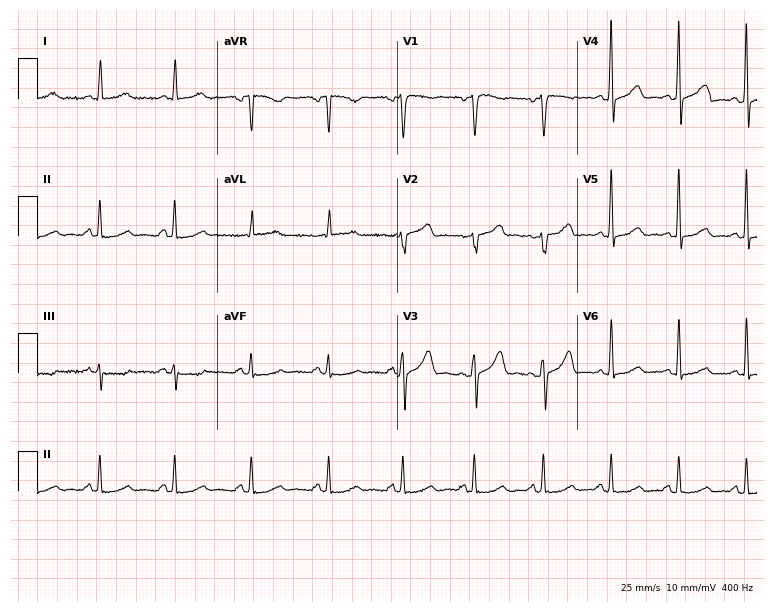
12-lead ECG from a female, 41 years old. No first-degree AV block, right bundle branch block (RBBB), left bundle branch block (LBBB), sinus bradycardia, atrial fibrillation (AF) or sinus tachycardia recorded for this tracing.